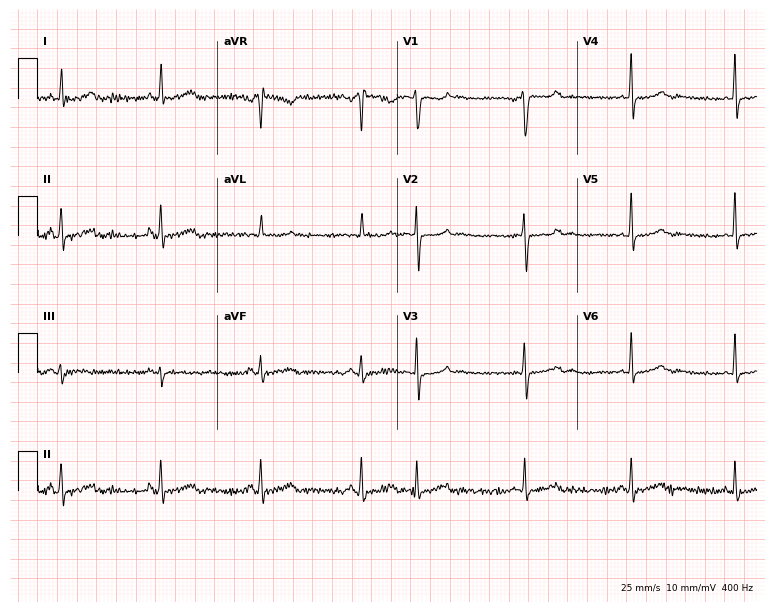
12-lead ECG from a 45-year-old female patient. No first-degree AV block, right bundle branch block, left bundle branch block, sinus bradycardia, atrial fibrillation or sinus tachycardia recorded for this tracing. Other findings, if any, are not listed.